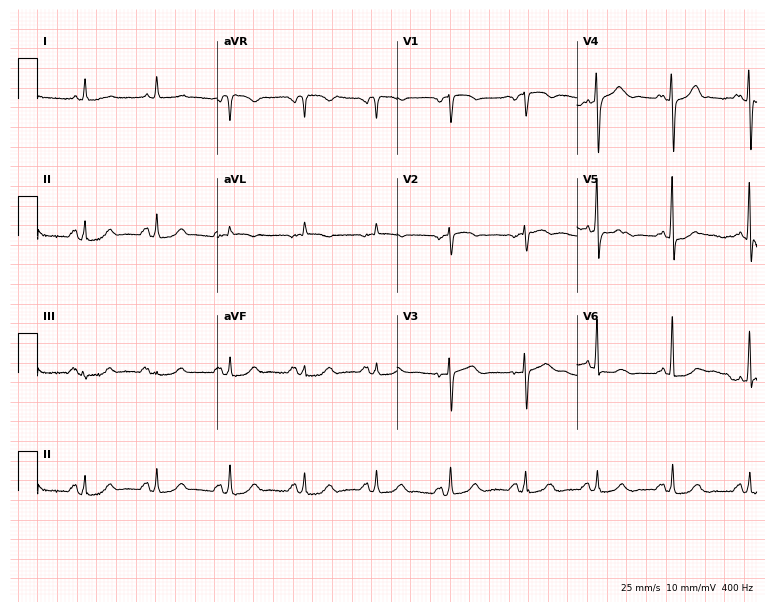
ECG (7.3-second recording at 400 Hz) — a 72-year-old man. Screened for six findings — first-degree AV block, right bundle branch block, left bundle branch block, sinus bradycardia, atrial fibrillation, sinus tachycardia — none is recorded.